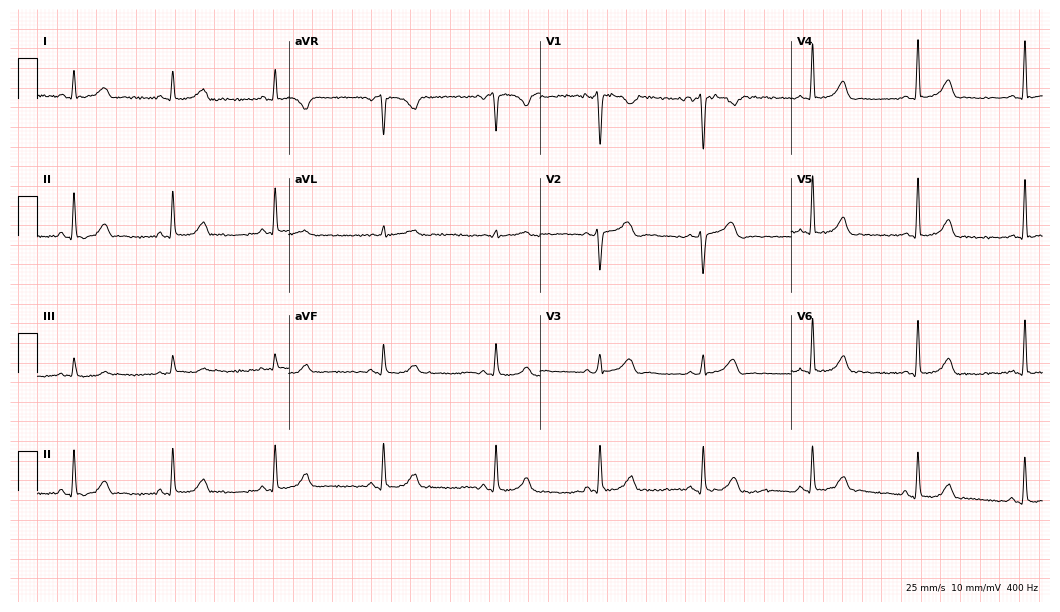
12-lead ECG from a 38-year-old woman. No first-degree AV block, right bundle branch block, left bundle branch block, sinus bradycardia, atrial fibrillation or sinus tachycardia recorded for this tracing. Only these six findings were labelled.